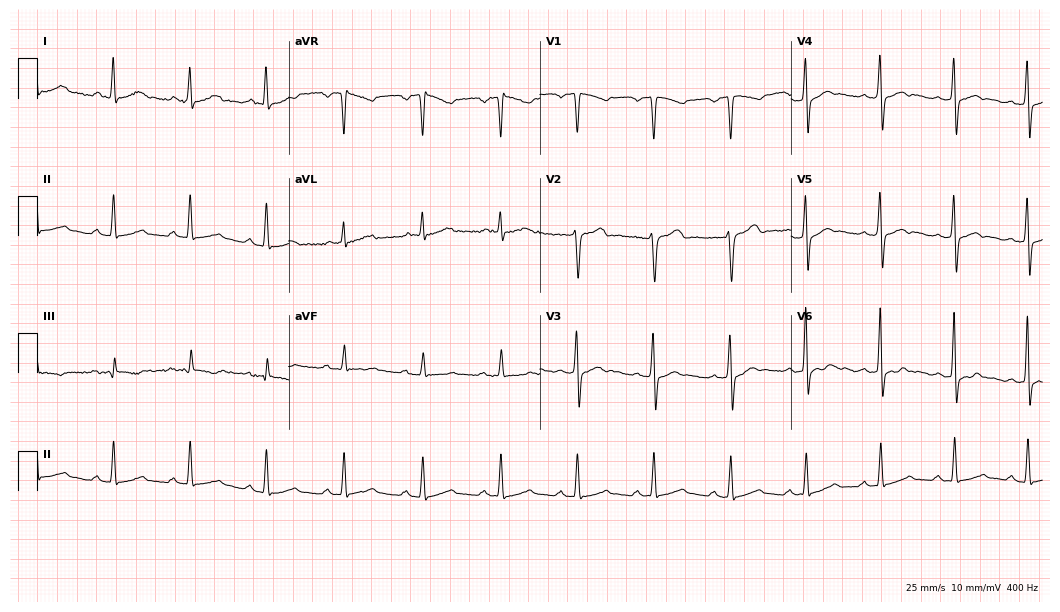
Resting 12-lead electrocardiogram. Patient: a 45-year-old male. Read as a normal ECG.